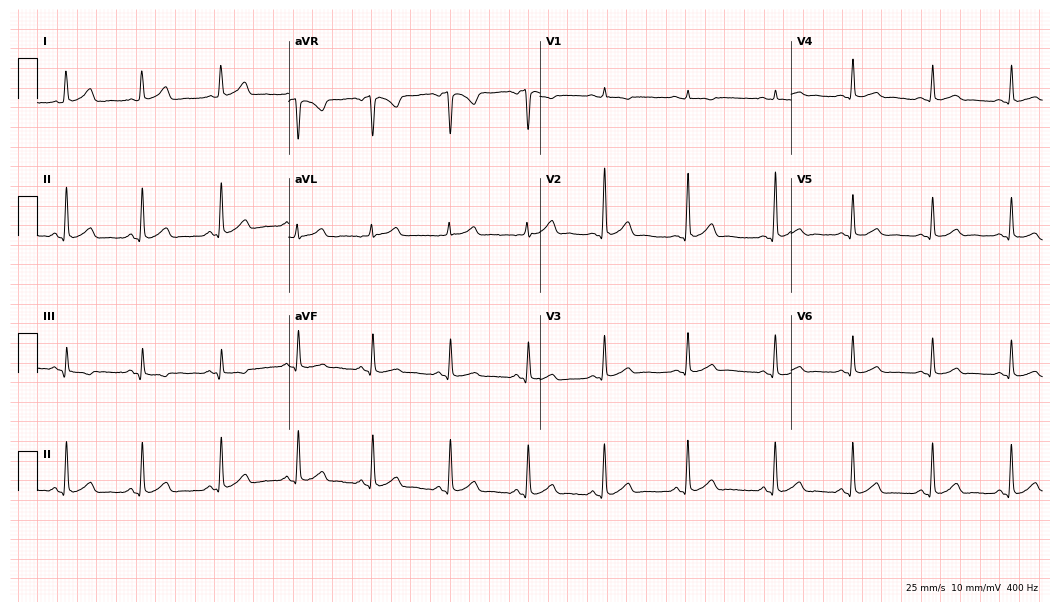
Standard 12-lead ECG recorded from a 24-year-old female (10.2-second recording at 400 Hz). Read as a normal ECG.